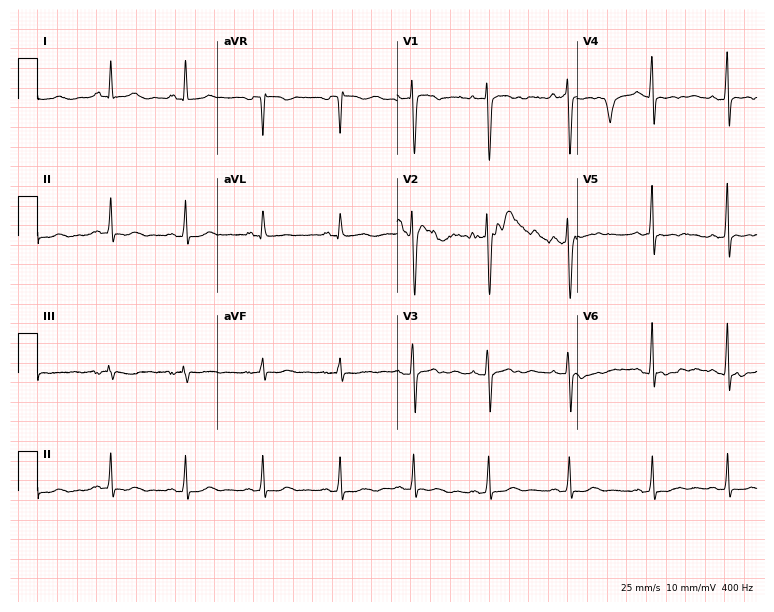
Resting 12-lead electrocardiogram. Patient: a female, 32 years old. None of these six findings is recorded: first-degree AV block, right bundle branch block (RBBB), left bundle branch block (LBBB), sinus bradycardia, atrial fibrillation (AF), sinus tachycardia.